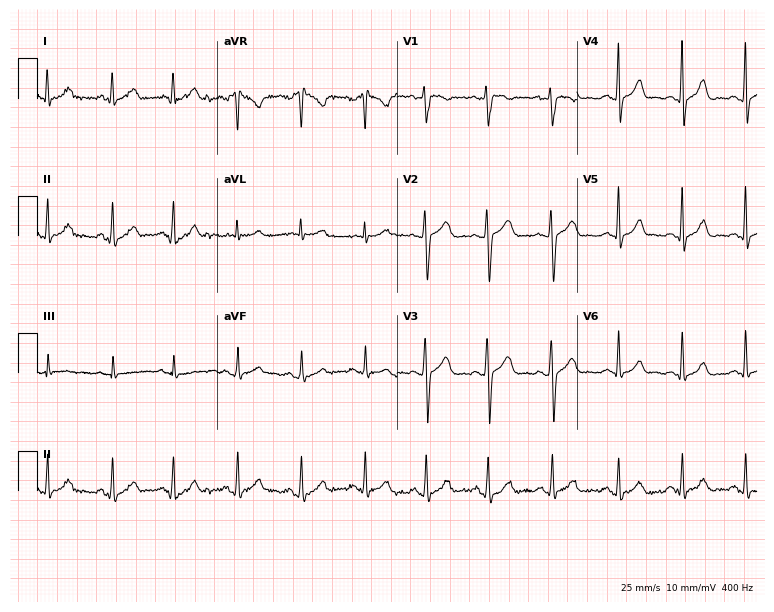
Standard 12-lead ECG recorded from a 17-year-old female (7.3-second recording at 400 Hz). None of these six findings is recorded: first-degree AV block, right bundle branch block, left bundle branch block, sinus bradycardia, atrial fibrillation, sinus tachycardia. Other findings, if any, are not listed.